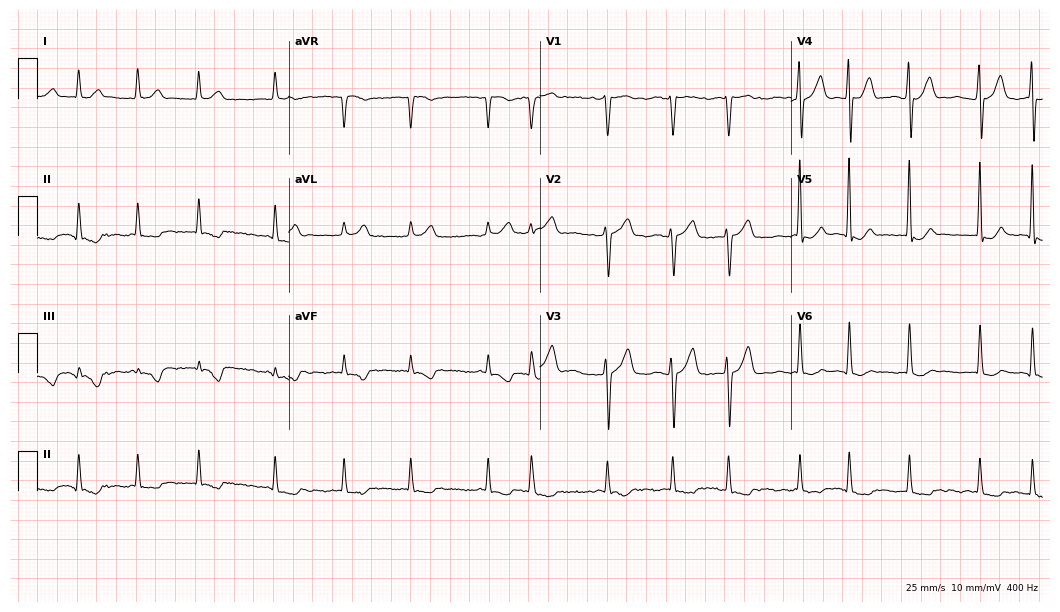
Standard 12-lead ECG recorded from a male, 73 years old (10.2-second recording at 400 Hz). The tracing shows atrial fibrillation.